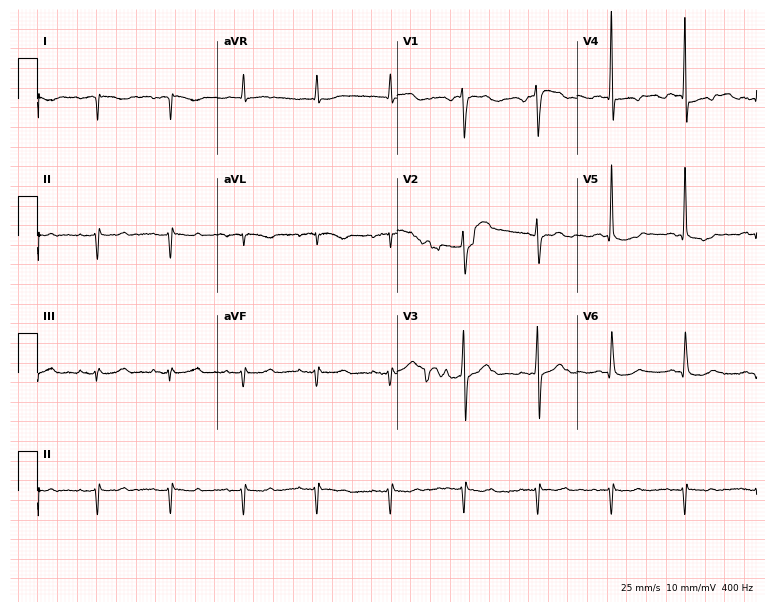
ECG — a man, 64 years old. Screened for six findings — first-degree AV block, right bundle branch block (RBBB), left bundle branch block (LBBB), sinus bradycardia, atrial fibrillation (AF), sinus tachycardia — none is recorded.